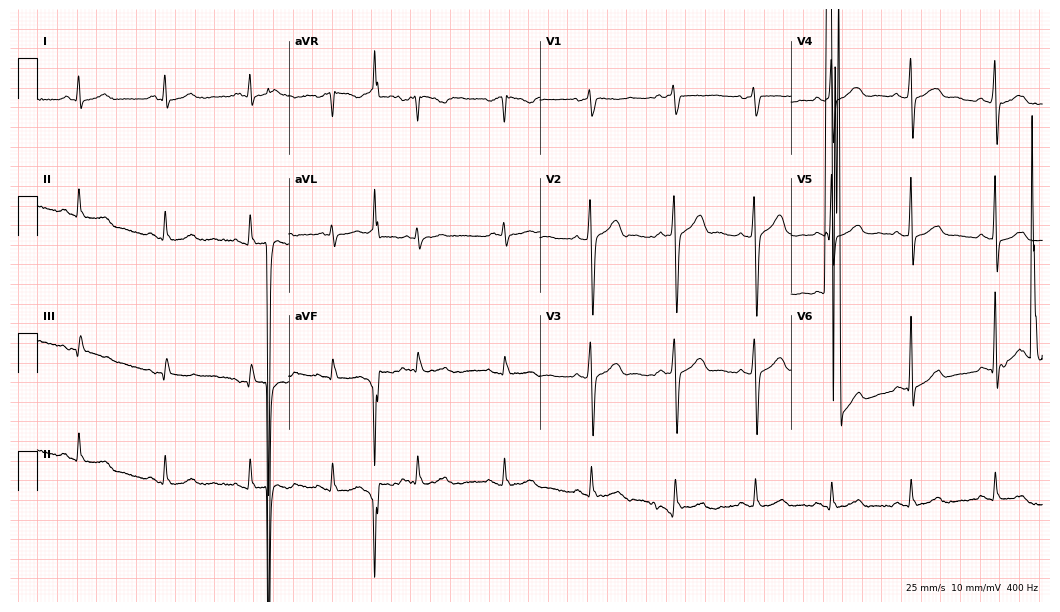
12-lead ECG from a man, 41 years old. Screened for six findings — first-degree AV block, right bundle branch block, left bundle branch block, sinus bradycardia, atrial fibrillation, sinus tachycardia — none is recorded.